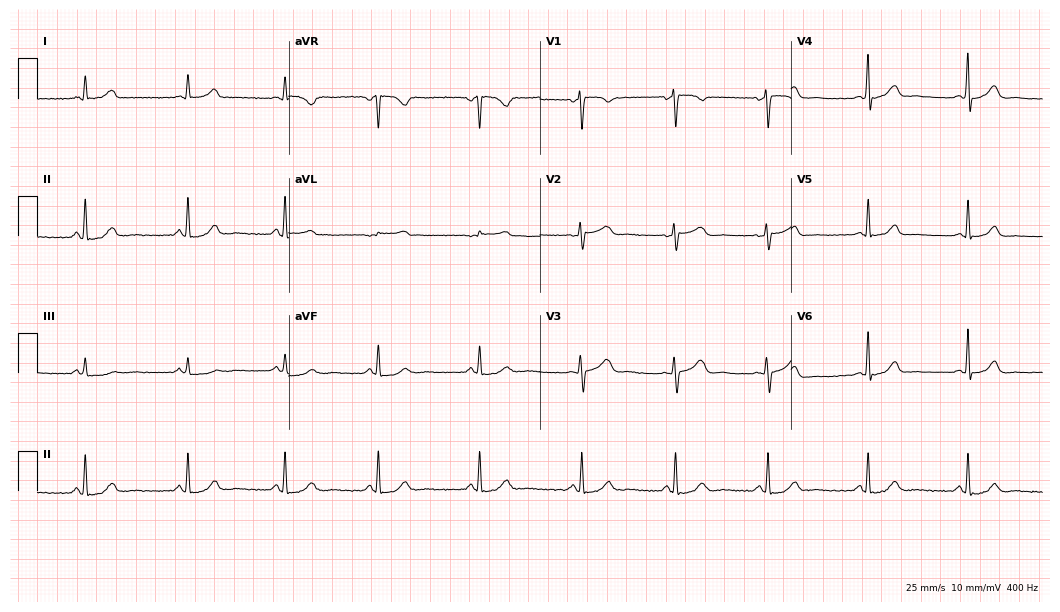
Resting 12-lead electrocardiogram (10.2-second recording at 400 Hz). Patient: a 33-year-old female. Read as a normal ECG.